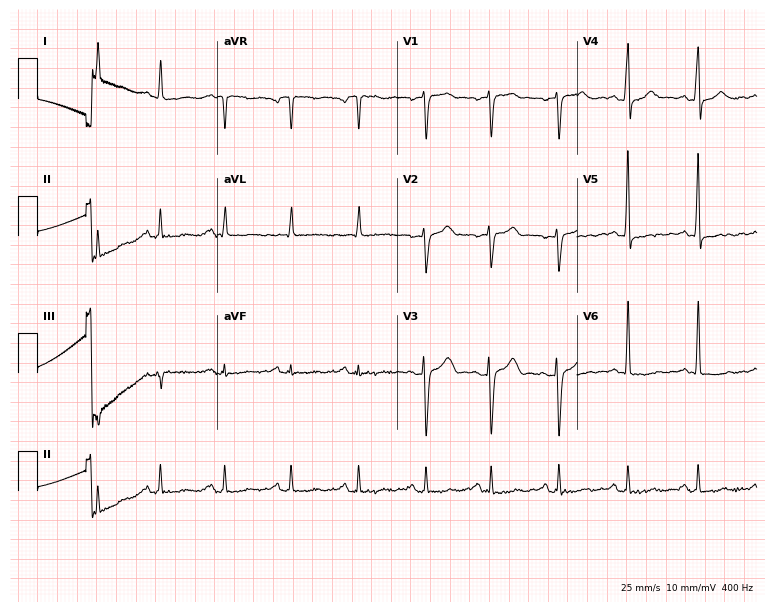
Standard 12-lead ECG recorded from a 57-year-old woman. None of these six findings is recorded: first-degree AV block, right bundle branch block, left bundle branch block, sinus bradycardia, atrial fibrillation, sinus tachycardia. Other findings, if any, are not listed.